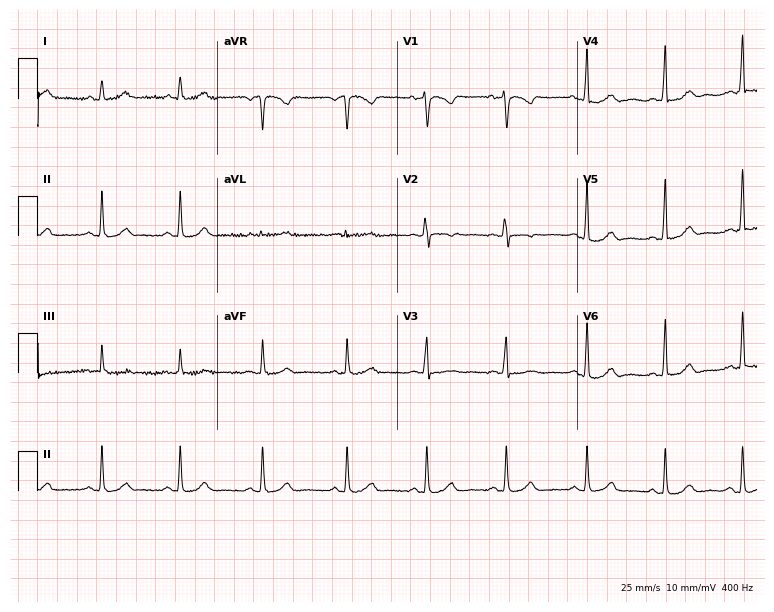
Resting 12-lead electrocardiogram (7.3-second recording at 400 Hz). Patient: a female, 42 years old. None of these six findings is recorded: first-degree AV block, right bundle branch block, left bundle branch block, sinus bradycardia, atrial fibrillation, sinus tachycardia.